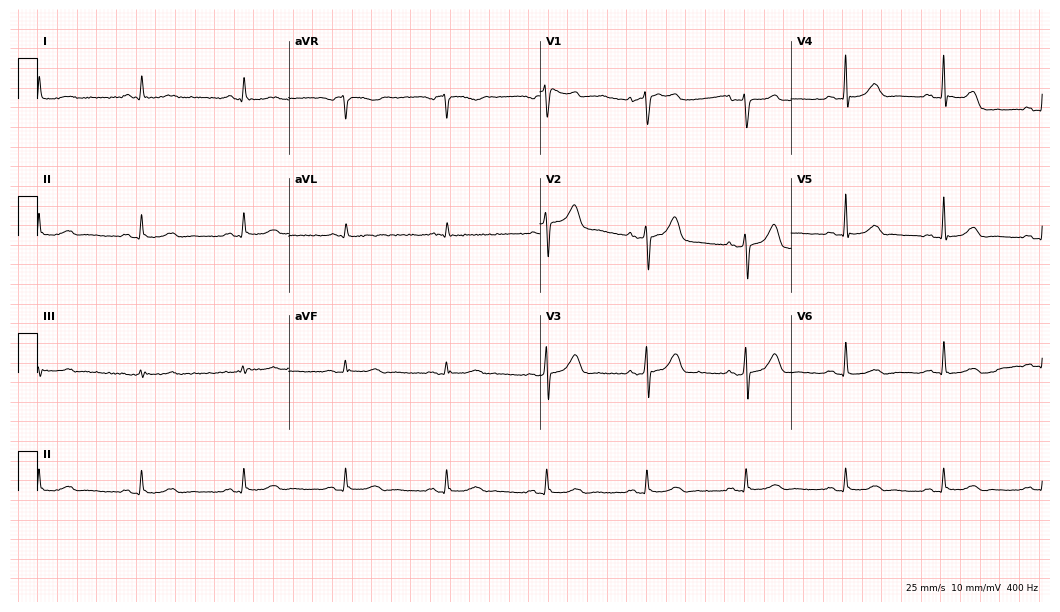
Electrocardiogram, a 63-year-old man. Overall reading on record: normal ECG.